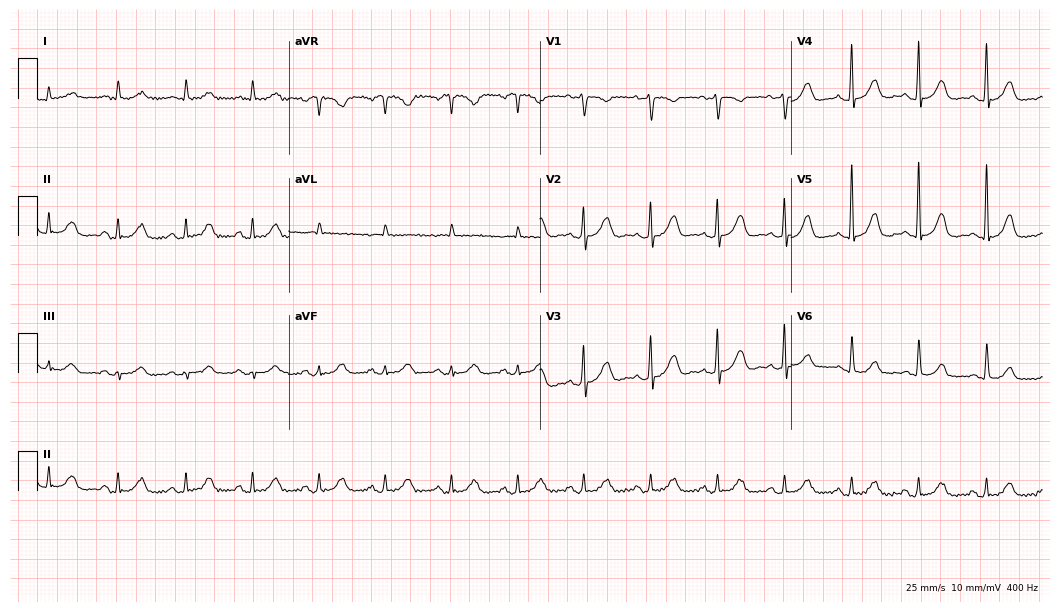
12-lead ECG from an 83-year-old female. No first-degree AV block, right bundle branch block, left bundle branch block, sinus bradycardia, atrial fibrillation or sinus tachycardia recorded for this tracing. Findings outside these six are not listed.